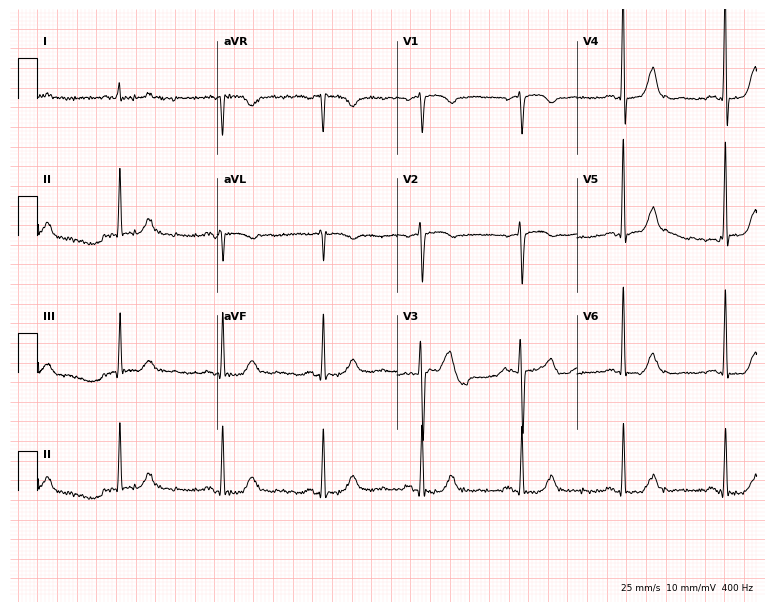
Standard 12-lead ECG recorded from a woman, 73 years old. None of these six findings is recorded: first-degree AV block, right bundle branch block, left bundle branch block, sinus bradycardia, atrial fibrillation, sinus tachycardia.